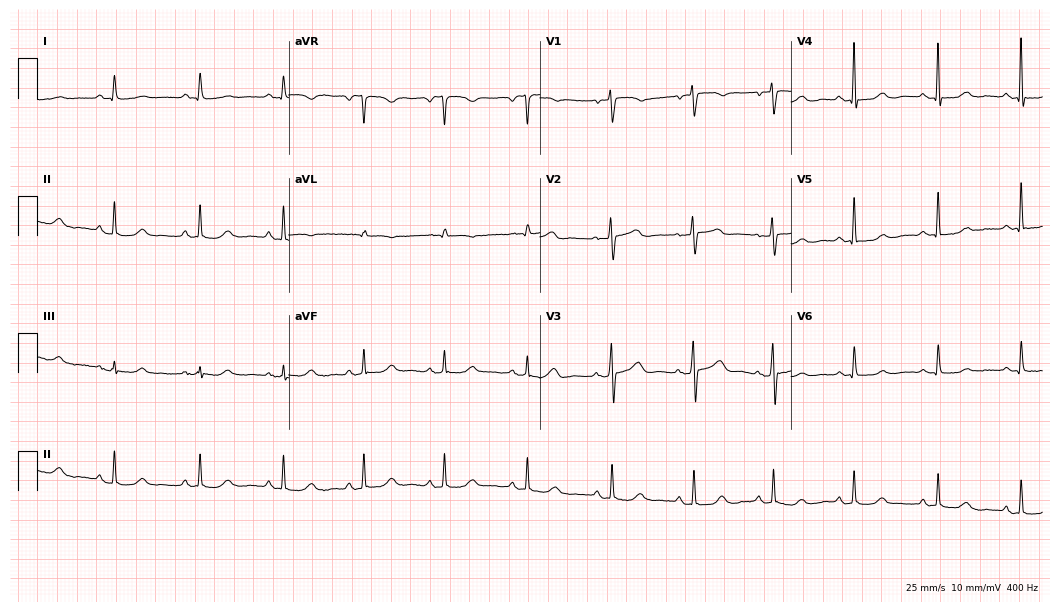
Resting 12-lead electrocardiogram. Patient: a 64-year-old female. None of these six findings is recorded: first-degree AV block, right bundle branch block, left bundle branch block, sinus bradycardia, atrial fibrillation, sinus tachycardia.